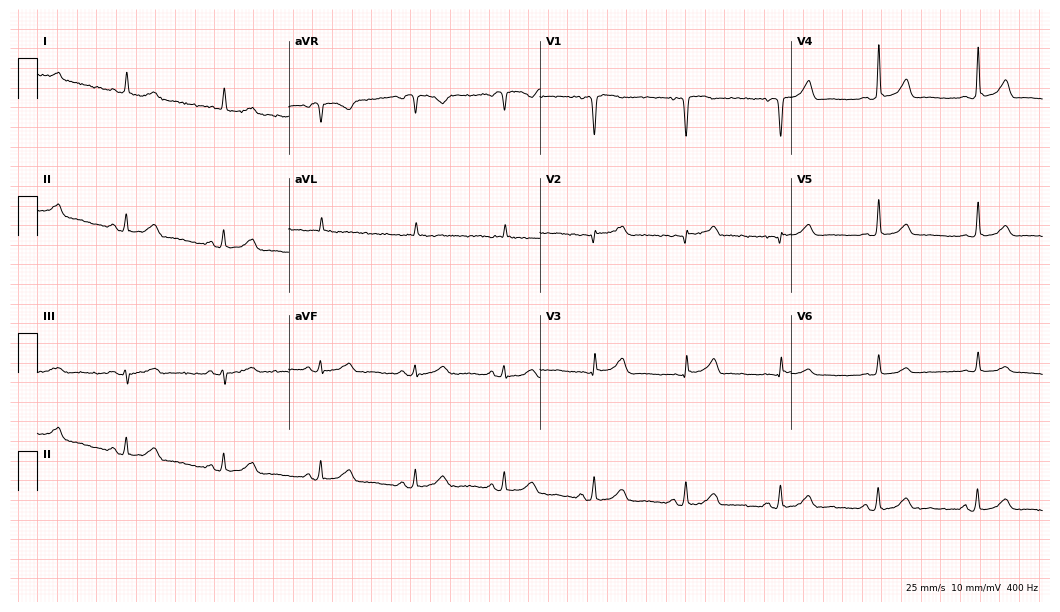
Electrocardiogram, a woman, 72 years old. Of the six screened findings (first-degree AV block, right bundle branch block, left bundle branch block, sinus bradycardia, atrial fibrillation, sinus tachycardia), none is recorded.